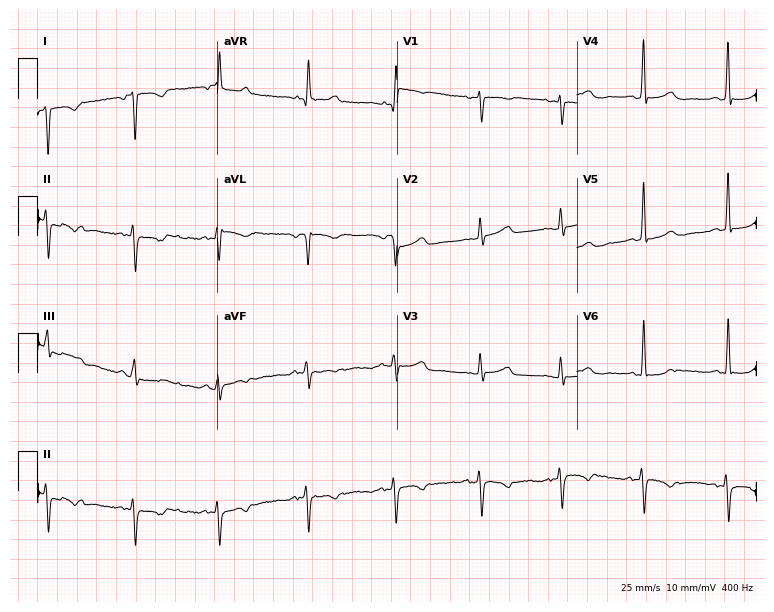
ECG — a 36-year-old female. Screened for six findings — first-degree AV block, right bundle branch block (RBBB), left bundle branch block (LBBB), sinus bradycardia, atrial fibrillation (AF), sinus tachycardia — none is recorded.